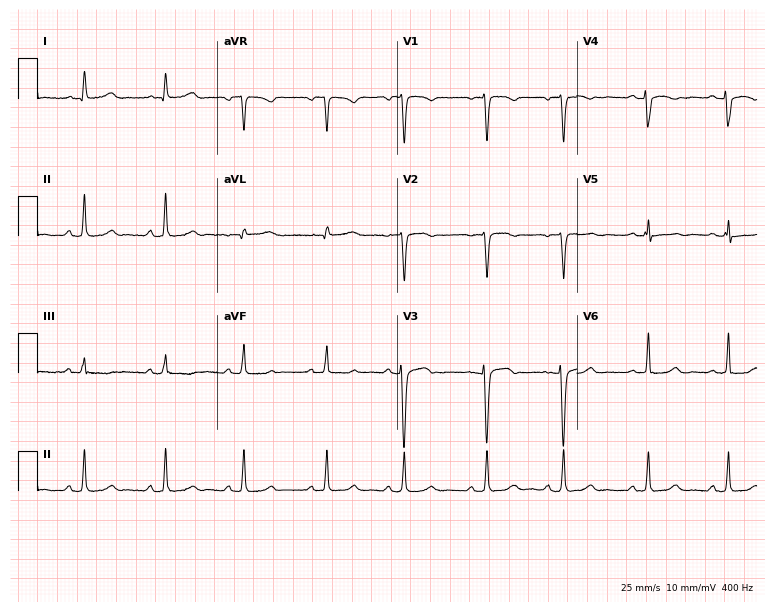
Resting 12-lead electrocardiogram. Patient: a female, 48 years old. None of these six findings is recorded: first-degree AV block, right bundle branch block, left bundle branch block, sinus bradycardia, atrial fibrillation, sinus tachycardia.